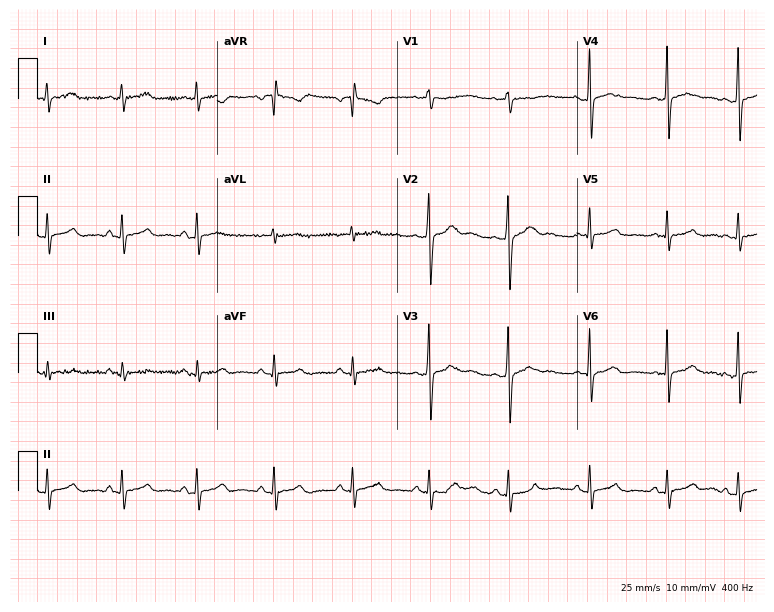
12-lead ECG from a woman, 17 years old (7.3-second recording at 400 Hz). Recorded interpretation: within normal limits.